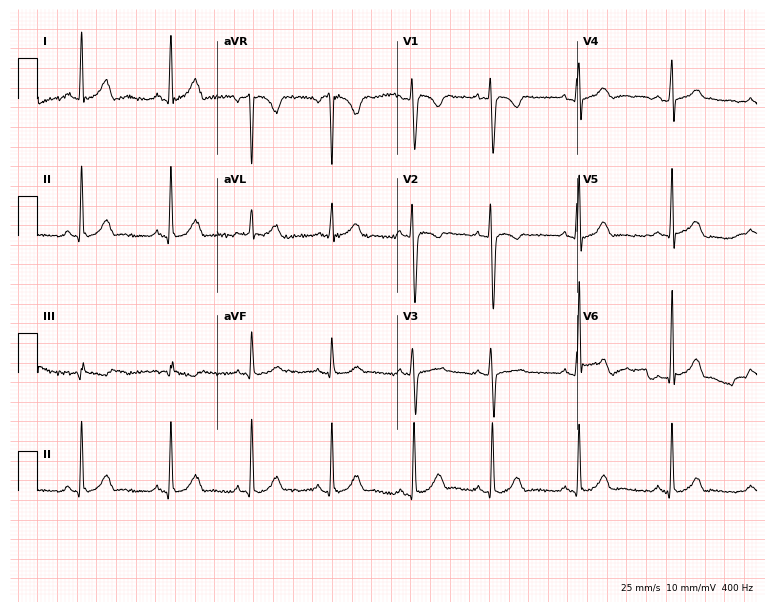
Electrocardiogram (7.3-second recording at 400 Hz), a female patient, 23 years old. Of the six screened findings (first-degree AV block, right bundle branch block (RBBB), left bundle branch block (LBBB), sinus bradycardia, atrial fibrillation (AF), sinus tachycardia), none is recorded. Only these six findings were labelled.